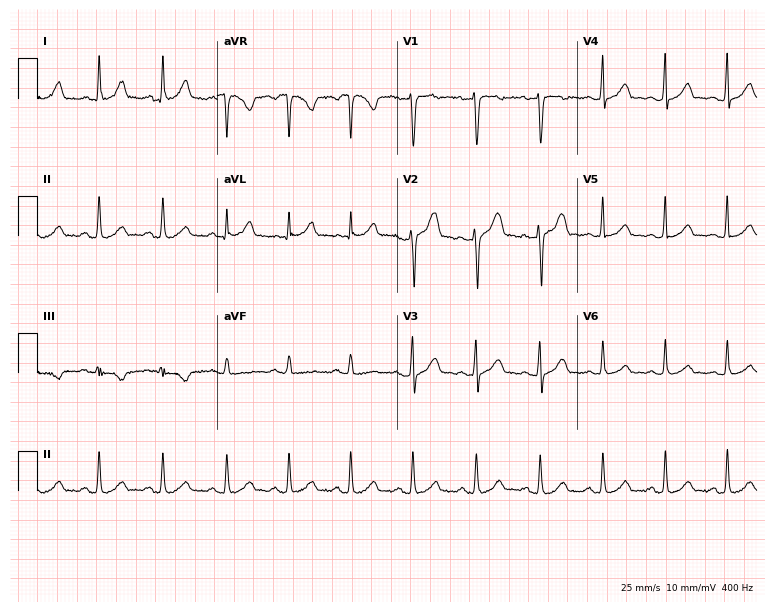
Standard 12-lead ECG recorded from a female patient, 35 years old (7.3-second recording at 400 Hz). None of these six findings is recorded: first-degree AV block, right bundle branch block, left bundle branch block, sinus bradycardia, atrial fibrillation, sinus tachycardia.